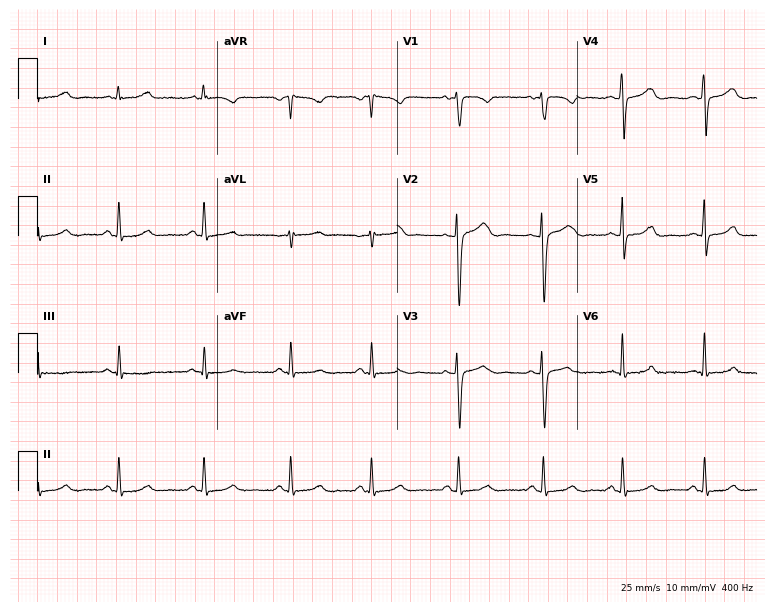
Electrocardiogram (7.3-second recording at 400 Hz), a 26-year-old female patient. Overall reading on record: normal ECG.